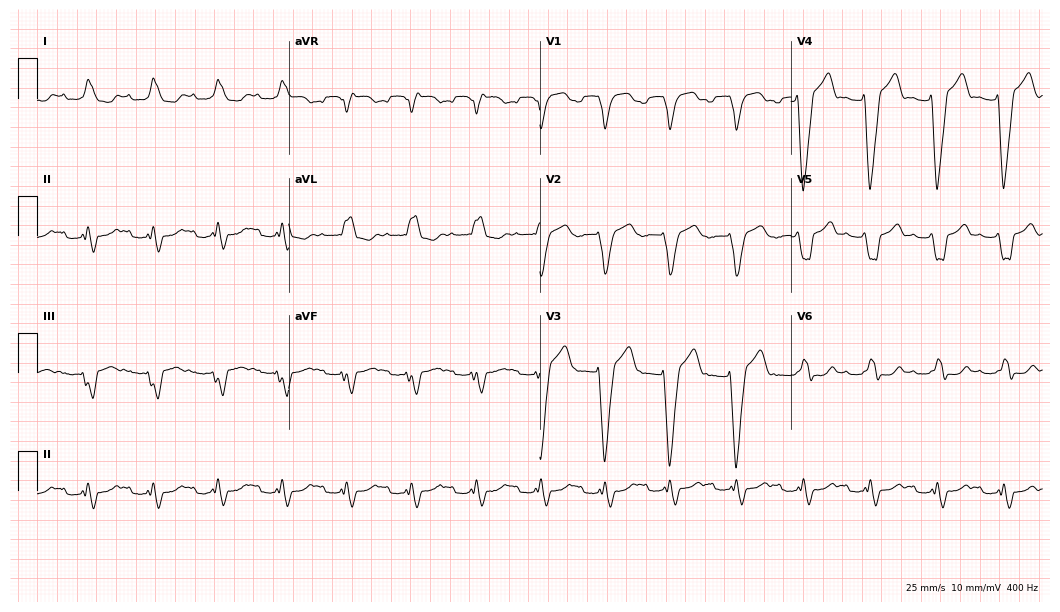
12-lead ECG from a 67-year-old male patient. Shows first-degree AV block, left bundle branch block.